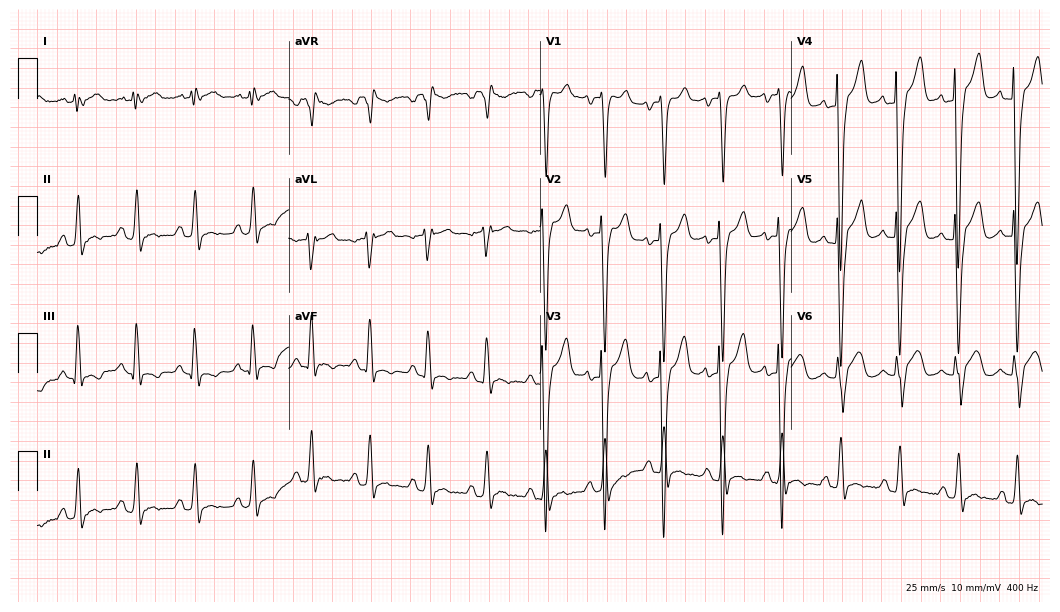
ECG (10.2-second recording at 400 Hz) — a female patient, 61 years old. Screened for six findings — first-degree AV block, right bundle branch block (RBBB), left bundle branch block (LBBB), sinus bradycardia, atrial fibrillation (AF), sinus tachycardia — none is recorded. Other findings, if any, are not listed.